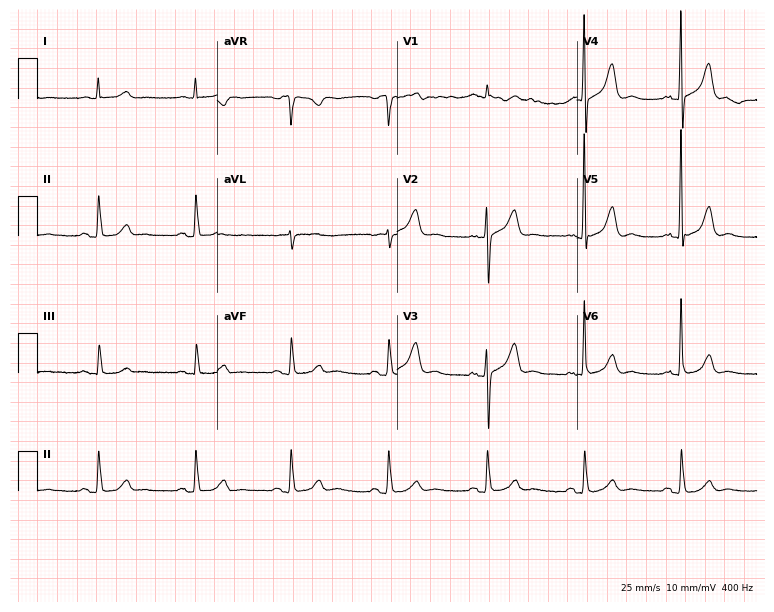
Standard 12-lead ECG recorded from a man, 79 years old. None of these six findings is recorded: first-degree AV block, right bundle branch block, left bundle branch block, sinus bradycardia, atrial fibrillation, sinus tachycardia.